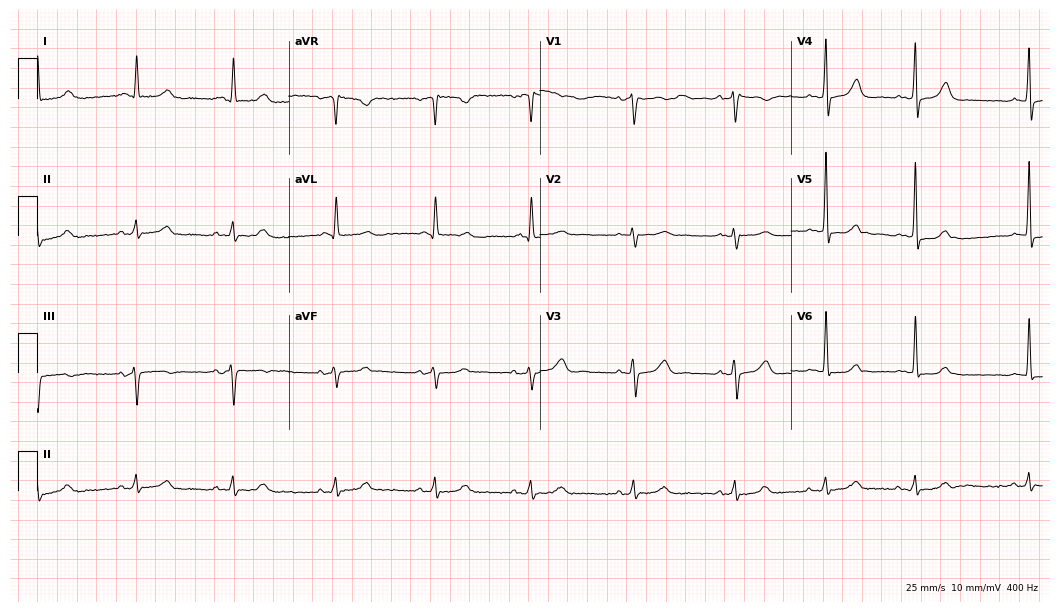
12-lead ECG from a female, 83 years old. Screened for six findings — first-degree AV block, right bundle branch block (RBBB), left bundle branch block (LBBB), sinus bradycardia, atrial fibrillation (AF), sinus tachycardia — none is recorded. Other findings, if any, are not listed.